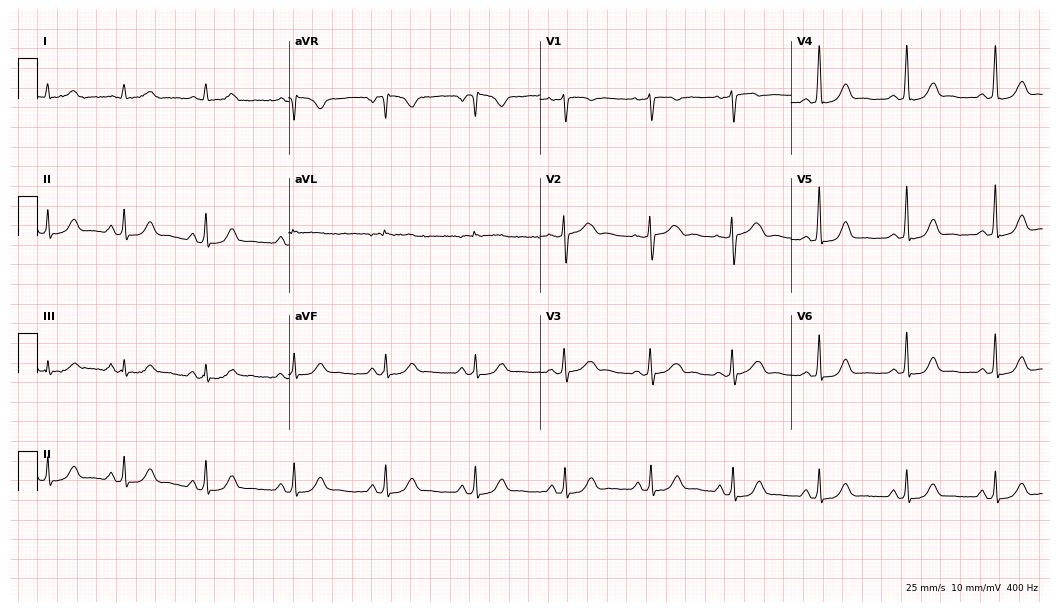
Standard 12-lead ECG recorded from a woman, 50 years old. None of these six findings is recorded: first-degree AV block, right bundle branch block (RBBB), left bundle branch block (LBBB), sinus bradycardia, atrial fibrillation (AF), sinus tachycardia. Findings outside these six are not listed.